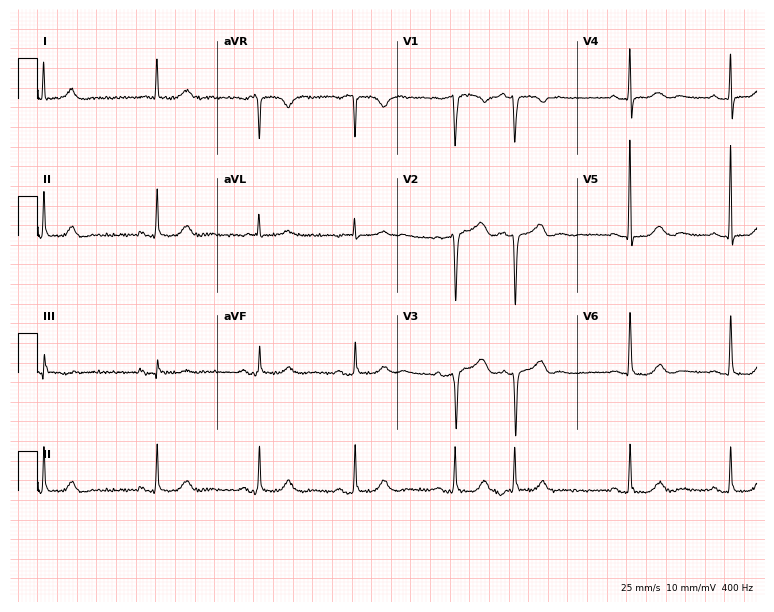
Standard 12-lead ECG recorded from a woman, 76 years old. None of these six findings is recorded: first-degree AV block, right bundle branch block, left bundle branch block, sinus bradycardia, atrial fibrillation, sinus tachycardia.